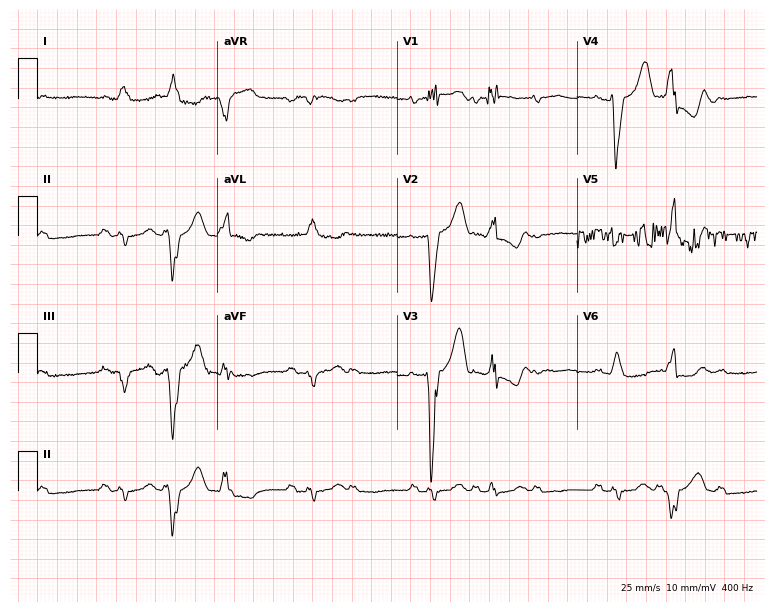
12-lead ECG from a man, 79 years old (7.3-second recording at 400 Hz). No first-degree AV block, right bundle branch block, left bundle branch block, sinus bradycardia, atrial fibrillation or sinus tachycardia recorded for this tracing. Only these six findings were labelled.